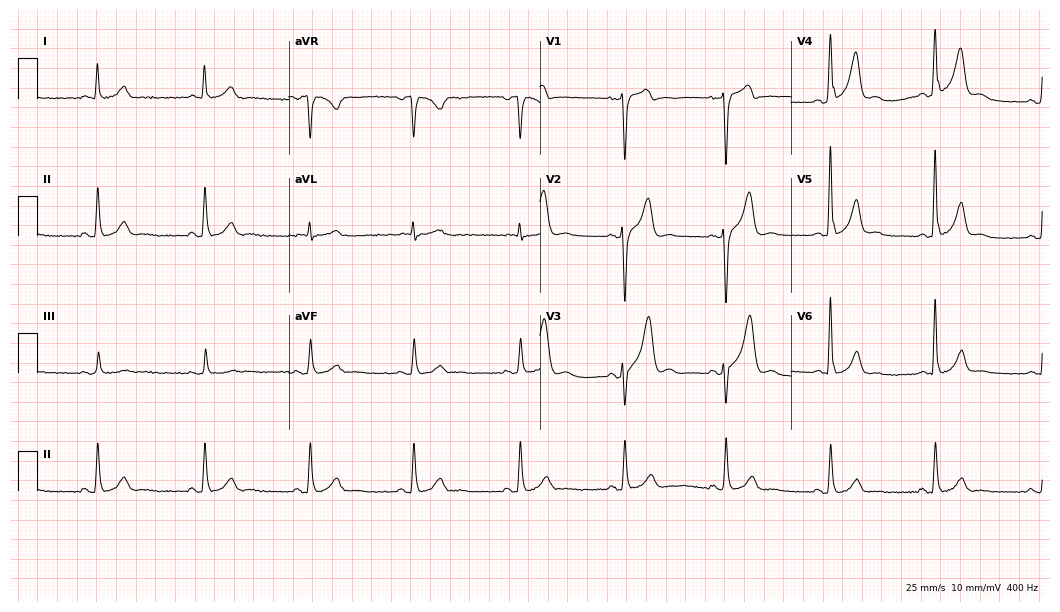
12-lead ECG from a male, 40 years old. No first-degree AV block, right bundle branch block (RBBB), left bundle branch block (LBBB), sinus bradycardia, atrial fibrillation (AF) or sinus tachycardia recorded for this tracing. Findings outside these six are not listed.